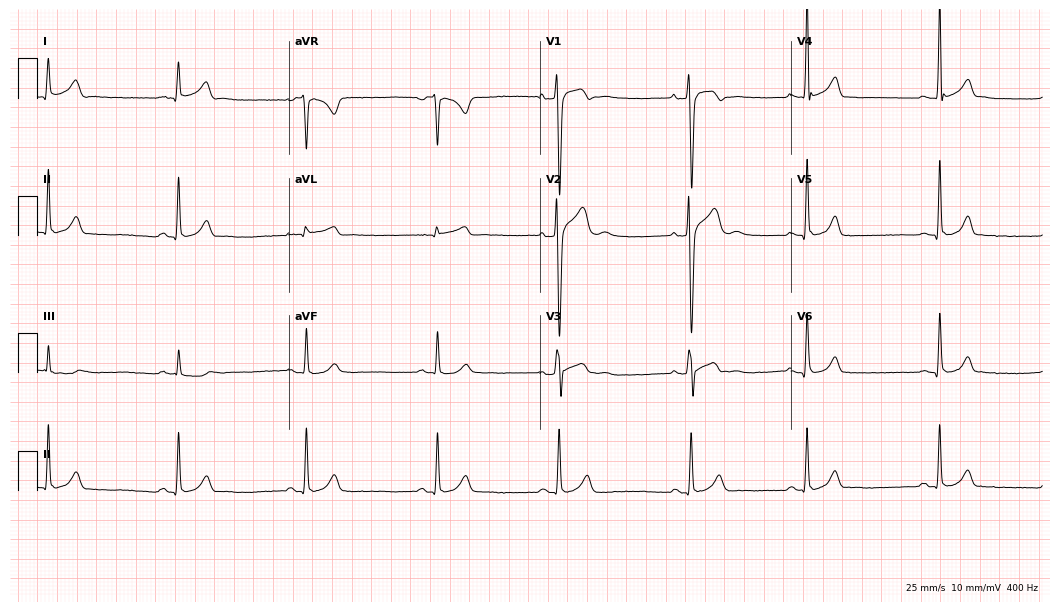
ECG — a male patient, 18 years old. Findings include sinus bradycardia (a sinus rate of 50 beats per minute or less).